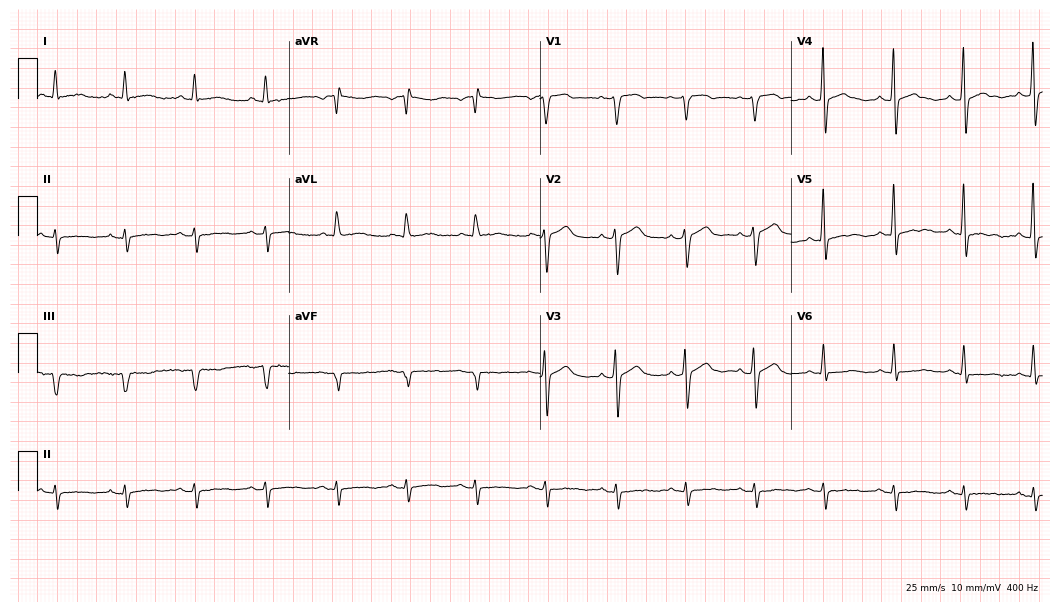
12-lead ECG from a 76-year-old man. Screened for six findings — first-degree AV block, right bundle branch block, left bundle branch block, sinus bradycardia, atrial fibrillation, sinus tachycardia — none is recorded. Findings outside these six are not listed.